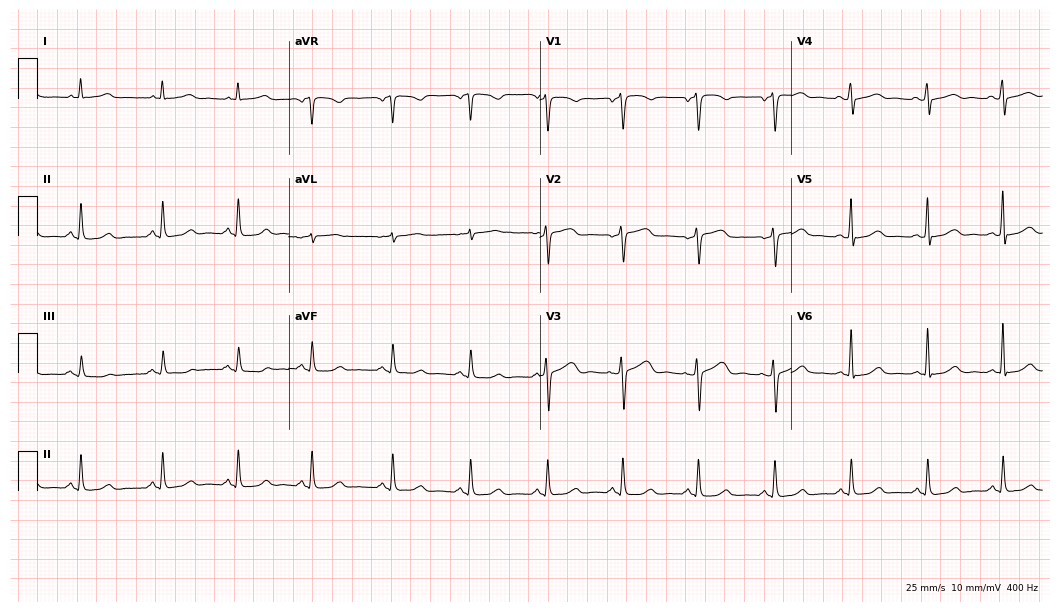
Electrocardiogram (10.2-second recording at 400 Hz), a female, 52 years old. Overall reading on record: normal ECG.